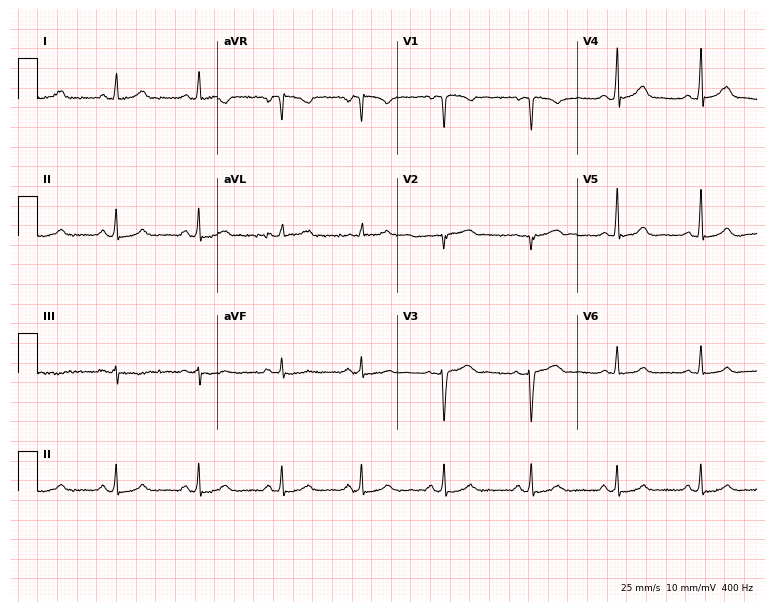
12-lead ECG from a female patient, 29 years old. Recorded interpretation: within normal limits.